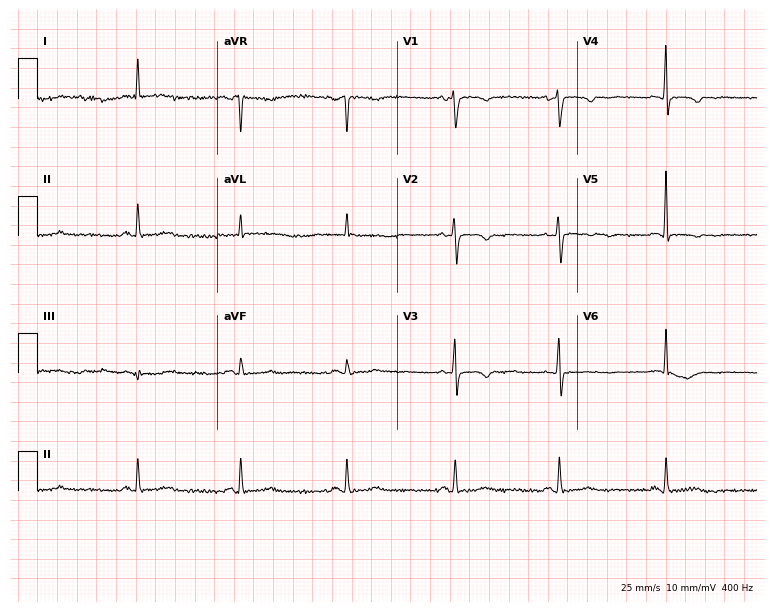
Resting 12-lead electrocardiogram (7.3-second recording at 400 Hz). Patient: a female, 69 years old. None of these six findings is recorded: first-degree AV block, right bundle branch block, left bundle branch block, sinus bradycardia, atrial fibrillation, sinus tachycardia.